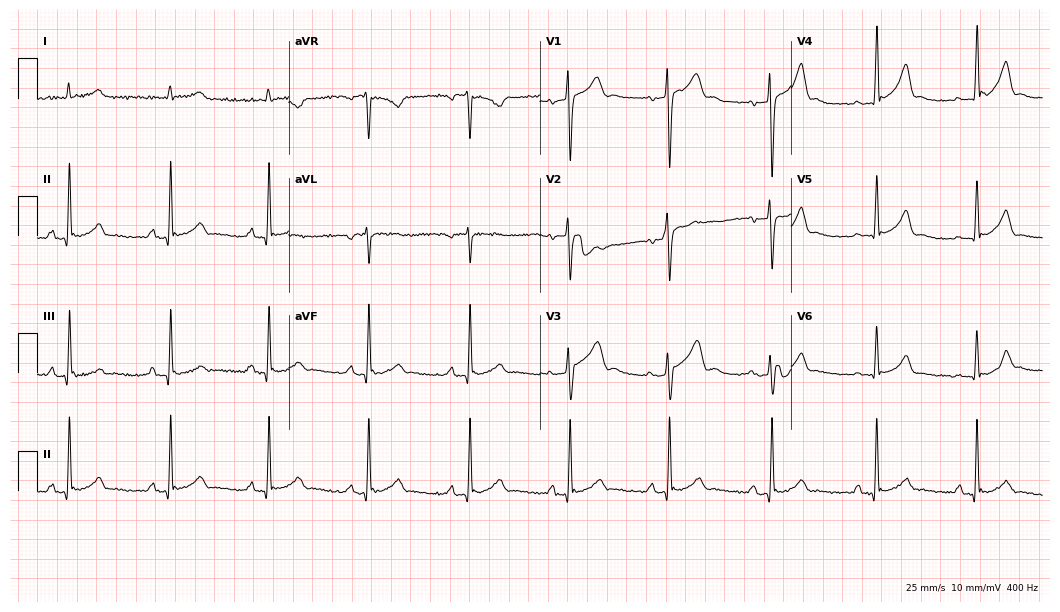
Electrocardiogram (10.2-second recording at 400 Hz), a male, 23 years old. Overall reading on record: normal ECG.